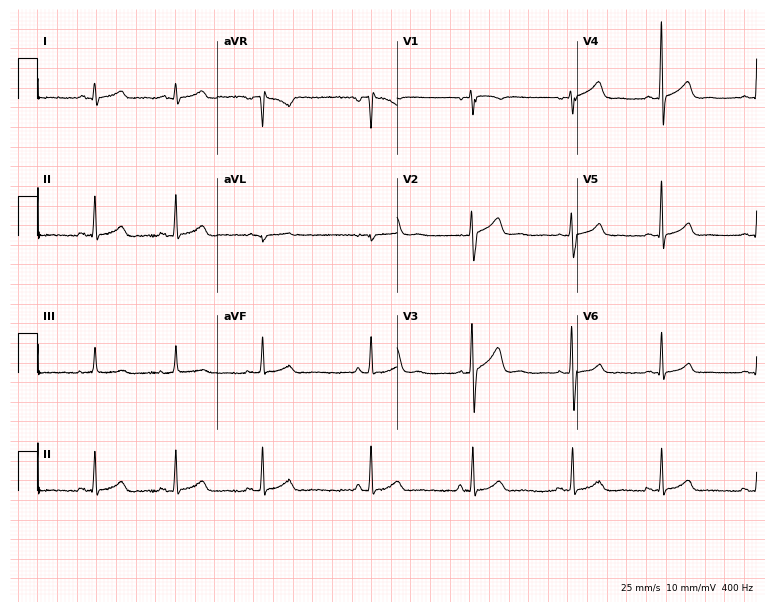
Resting 12-lead electrocardiogram. Patient: a male, 19 years old. None of these six findings is recorded: first-degree AV block, right bundle branch block, left bundle branch block, sinus bradycardia, atrial fibrillation, sinus tachycardia.